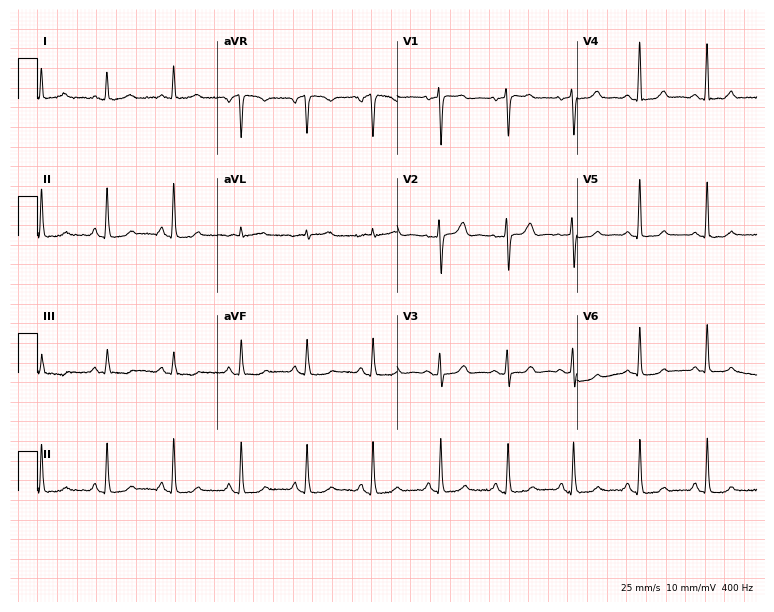
Standard 12-lead ECG recorded from a 71-year-old woman (7.3-second recording at 400 Hz). Read as a normal ECG.